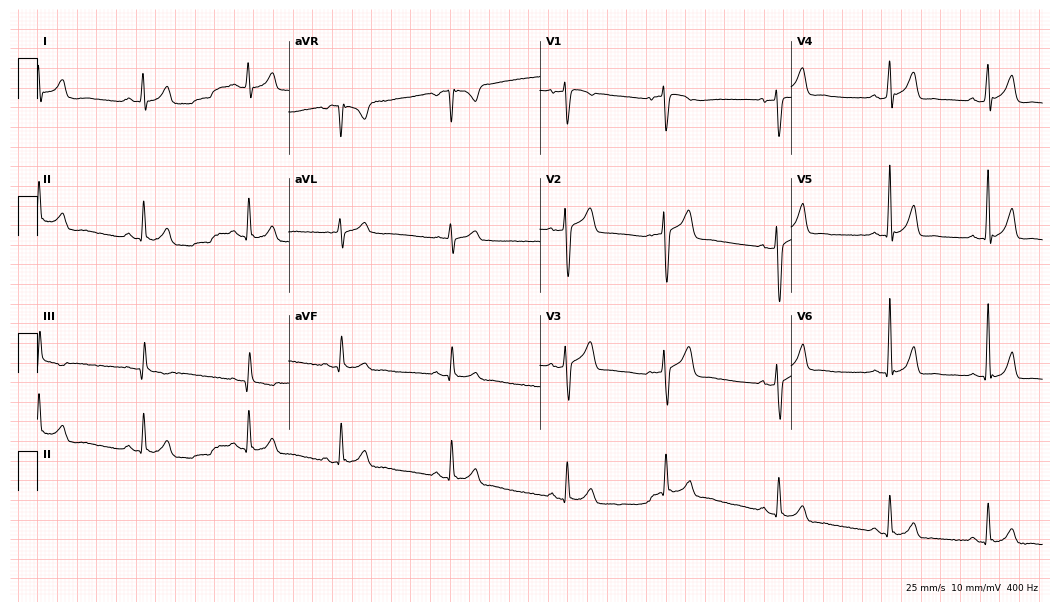
Resting 12-lead electrocardiogram (10.2-second recording at 400 Hz). Patient: a 24-year-old male. None of these six findings is recorded: first-degree AV block, right bundle branch block, left bundle branch block, sinus bradycardia, atrial fibrillation, sinus tachycardia.